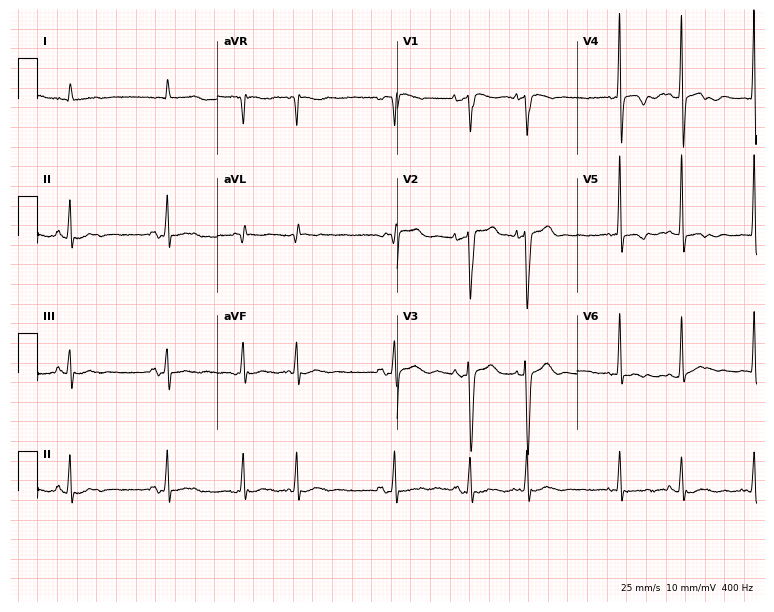
ECG (7.3-second recording at 400 Hz) — a woman, 78 years old. Screened for six findings — first-degree AV block, right bundle branch block, left bundle branch block, sinus bradycardia, atrial fibrillation, sinus tachycardia — none is recorded.